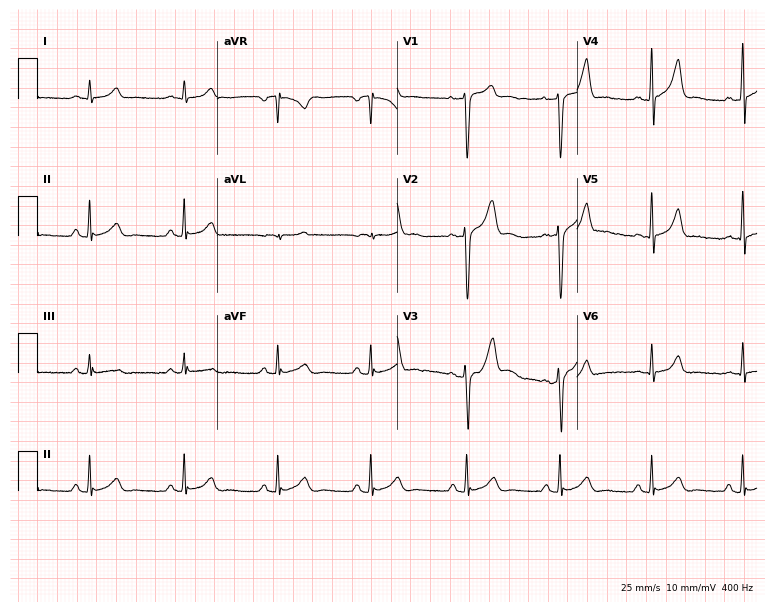
12-lead ECG from a male patient, 28 years old. Screened for six findings — first-degree AV block, right bundle branch block (RBBB), left bundle branch block (LBBB), sinus bradycardia, atrial fibrillation (AF), sinus tachycardia — none is recorded.